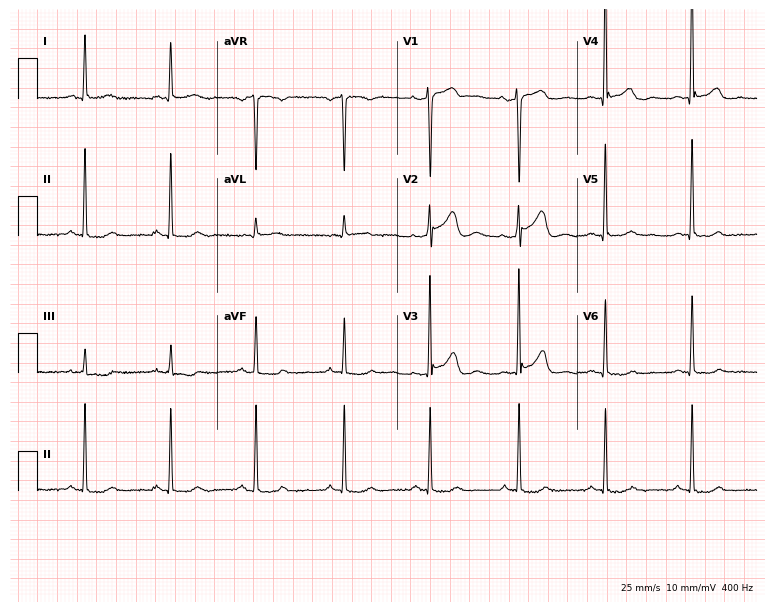
12-lead ECG (7.3-second recording at 400 Hz) from a woman, 46 years old. Screened for six findings — first-degree AV block, right bundle branch block, left bundle branch block, sinus bradycardia, atrial fibrillation, sinus tachycardia — none is recorded. Other findings, if any, are not listed.